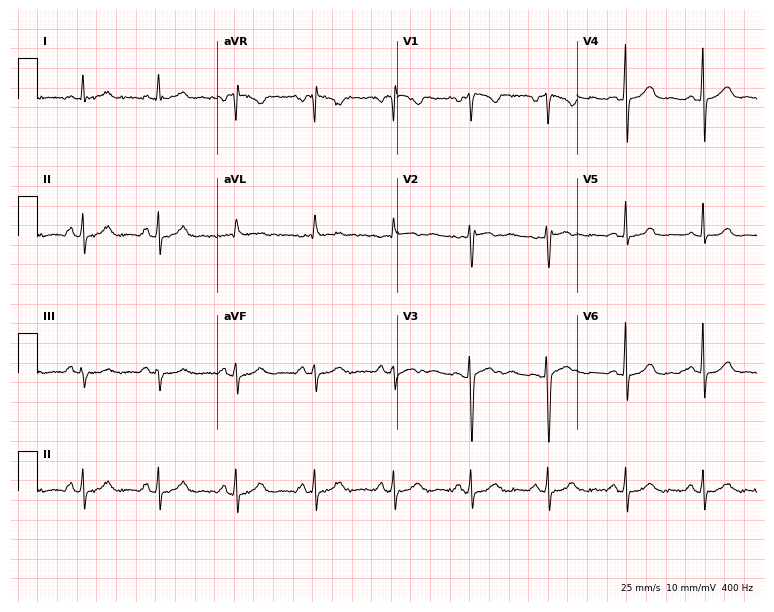
12-lead ECG from a 46-year-old female. Labelled as a normal ECG.